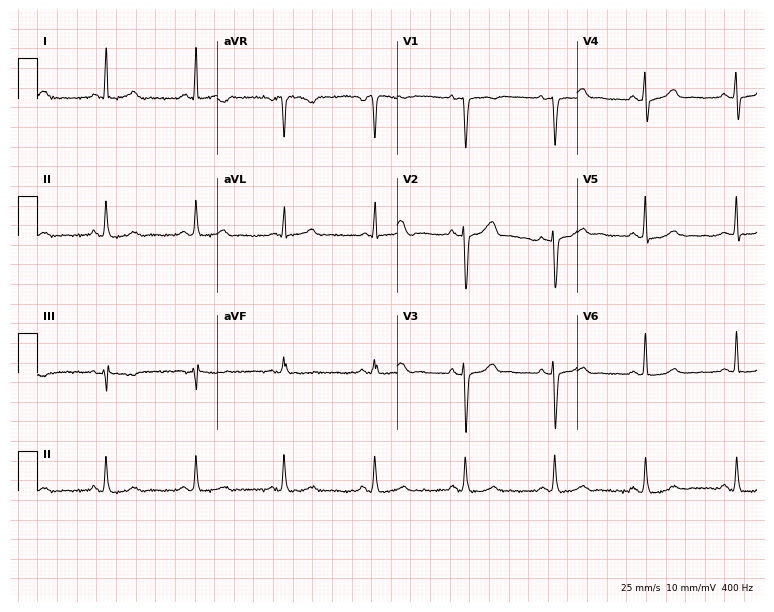
Electrocardiogram, a 41-year-old female patient. Of the six screened findings (first-degree AV block, right bundle branch block, left bundle branch block, sinus bradycardia, atrial fibrillation, sinus tachycardia), none is recorded. Findings outside these six are not listed.